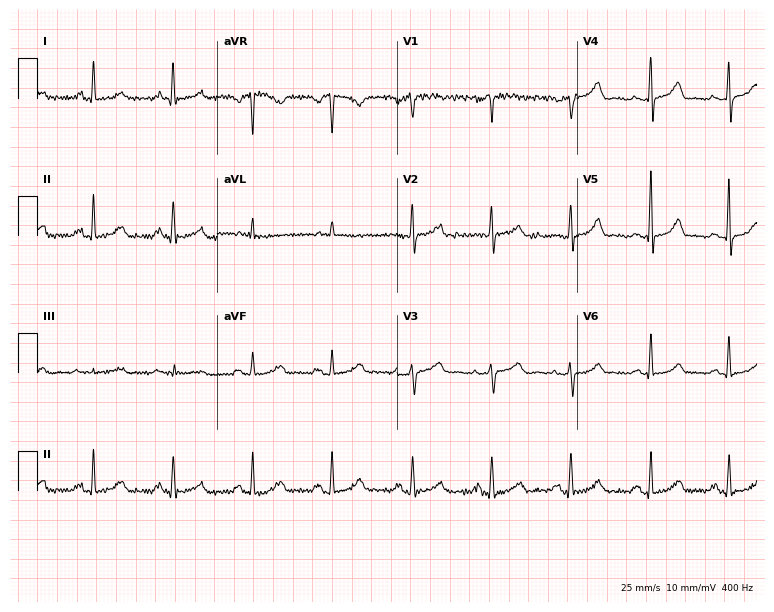
Resting 12-lead electrocardiogram. Patient: a woman, 78 years old. Read as a normal ECG.